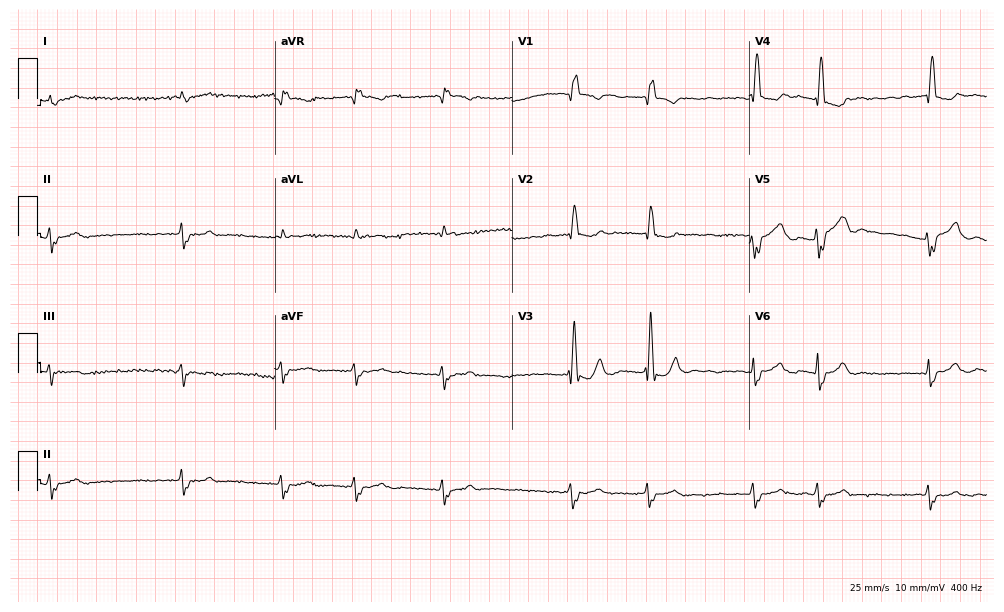
12-lead ECG from a male, 85 years old. Screened for six findings — first-degree AV block, right bundle branch block, left bundle branch block, sinus bradycardia, atrial fibrillation, sinus tachycardia — none is recorded. Only these six findings were labelled.